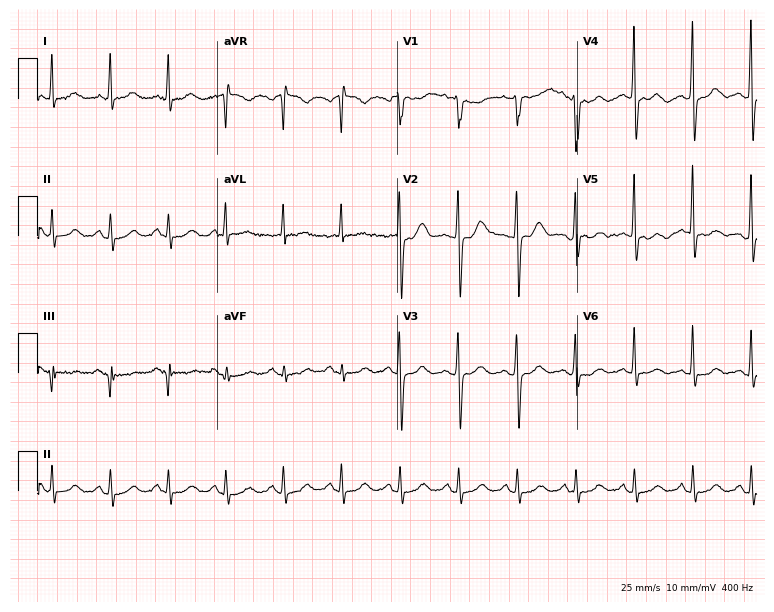
12-lead ECG from a 62-year-old female. Shows sinus tachycardia (a sinus rate of 100 beats per minute or more).